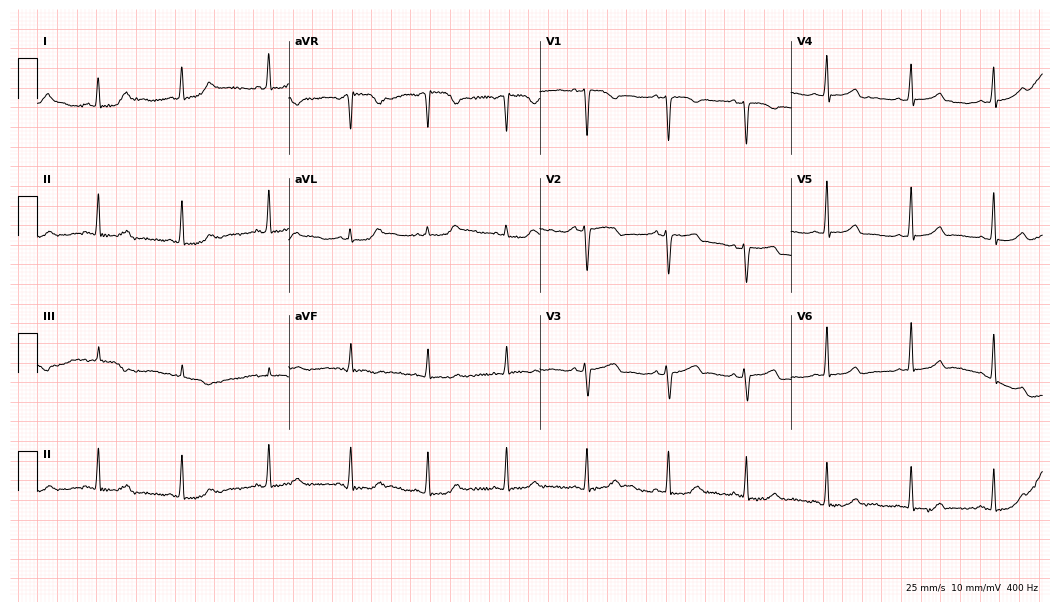
Standard 12-lead ECG recorded from a 28-year-old female (10.2-second recording at 400 Hz). None of these six findings is recorded: first-degree AV block, right bundle branch block (RBBB), left bundle branch block (LBBB), sinus bradycardia, atrial fibrillation (AF), sinus tachycardia.